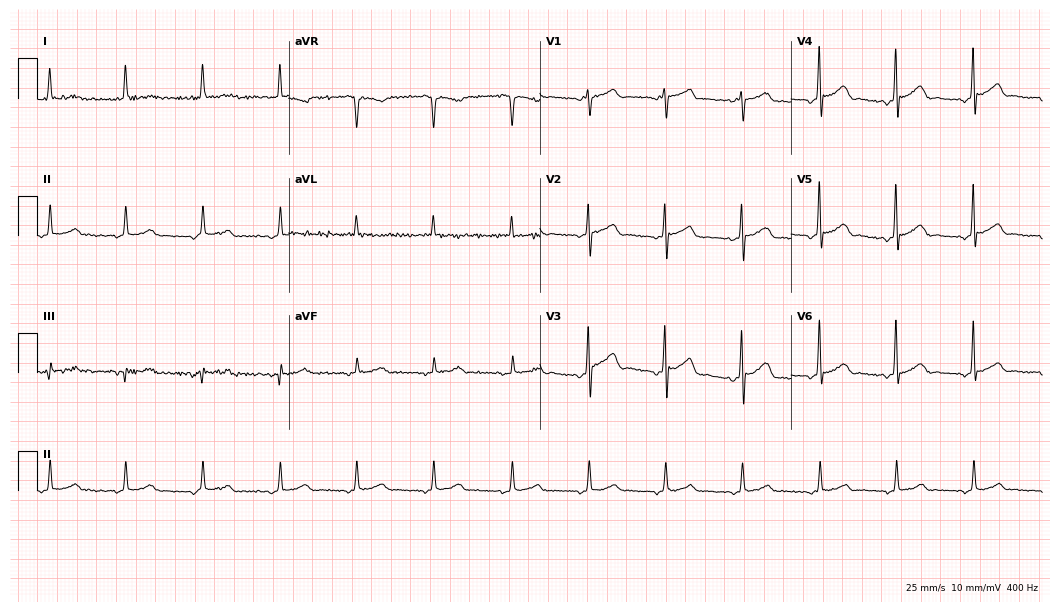
ECG (10.2-second recording at 400 Hz) — a 71-year-old man. Screened for six findings — first-degree AV block, right bundle branch block, left bundle branch block, sinus bradycardia, atrial fibrillation, sinus tachycardia — none is recorded. Other findings, if any, are not listed.